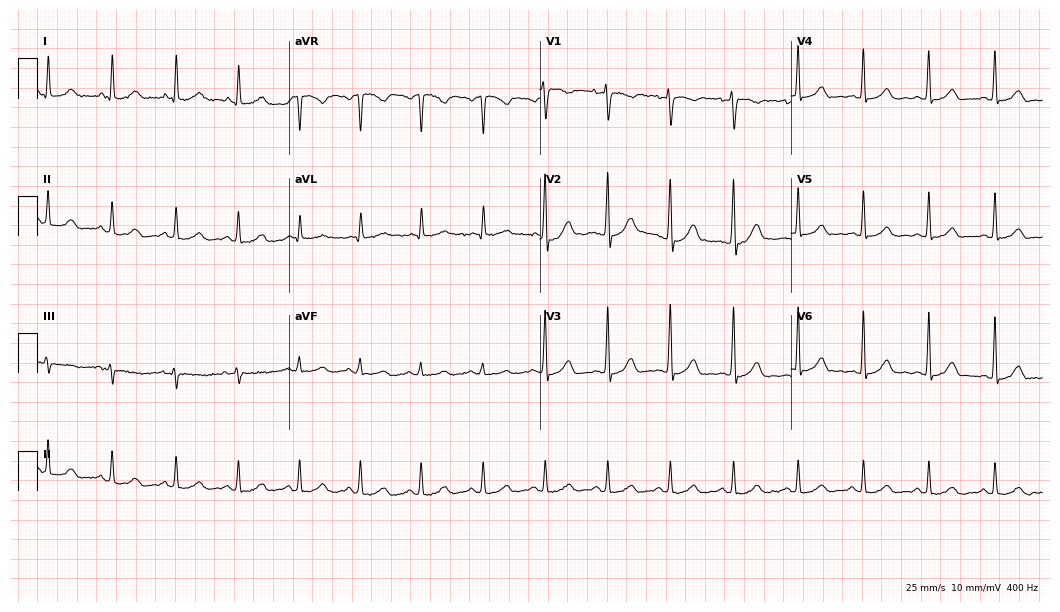
12-lead ECG from a 26-year-old woman. Recorded interpretation: within normal limits.